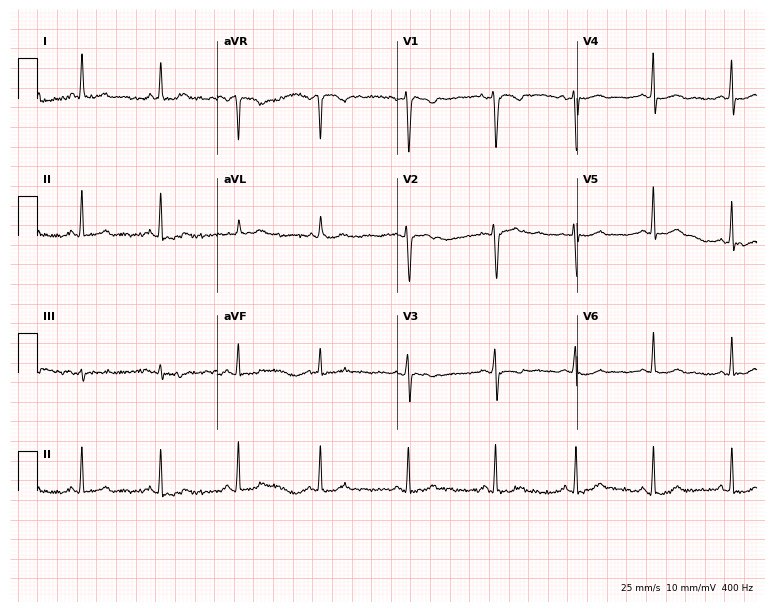
12-lead ECG from a female, 26 years old. No first-degree AV block, right bundle branch block, left bundle branch block, sinus bradycardia, atrial fibrillation or sinus tachycardia recorded for this tracing. Other findings, if any, are not listed.